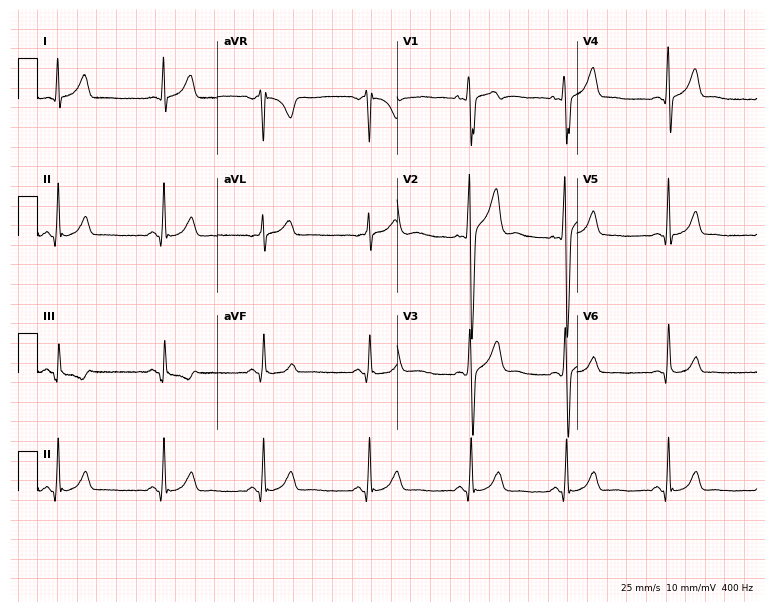
Resting 12-lead electrocardiogram. Patient: a 20-year-old male. None of these six findings is recorded: first-degree AV block, right bundle branch block (RBBB), left bundle branch block (LBBB), sinus bradycardia, atrial fibrillation (AF), sinus tachycardia. Findings outside these six are not listed.